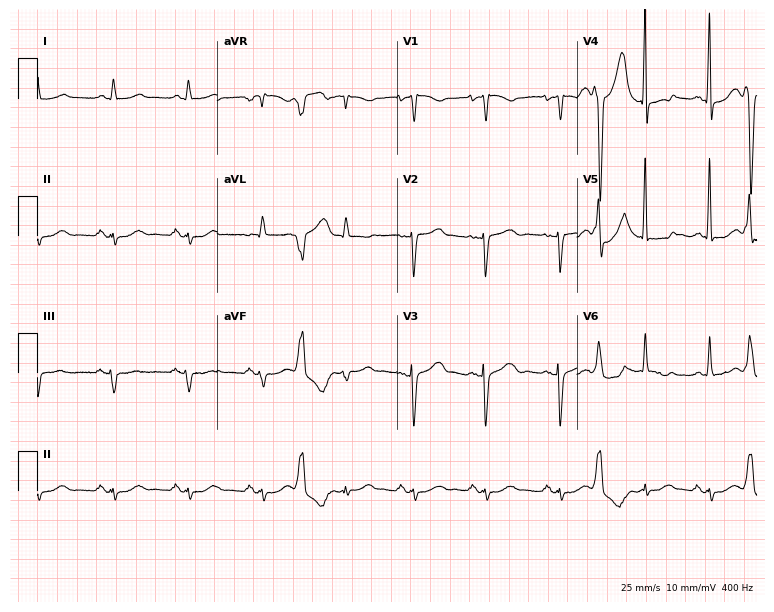
ECG (7.3-second recording at 400 Hz) — a female patient, 71 years old. Screened for six findings — first-degree AV block, right bundle branch block, left bundle branch block, sinus bradycardia, atrial fibrillation, sinus tachycardia — none is recorded. Only these six findings were labelled.